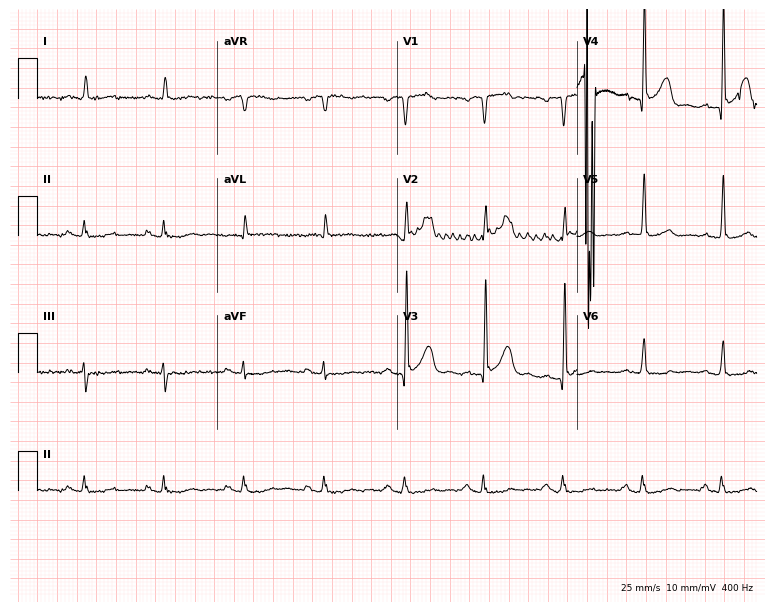
12-lead ECG from a 78-year-old male patient. Screened for six findings — first-degree AV block, right bundle branch block, left bundle branch block, sinus bradycardia, atrial fibrillation, sinus tachycardia — none is recorded. Other findings, if any, are not listed.